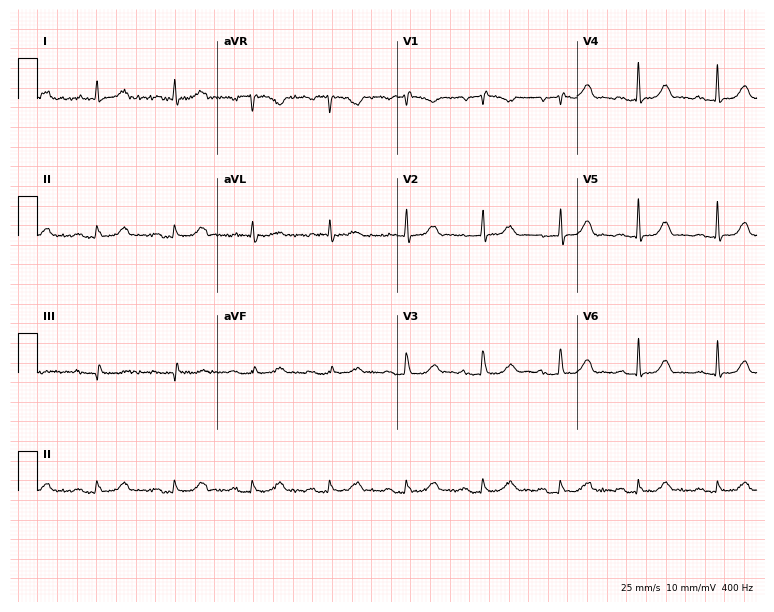
Resting 12-lead electrocardiogram (7.3-second recording at 400 Hz). Patient: an 80-year-old male. None of these six findings is recorded: first-degree AV block, right bundle branch block (RBBB), left bundle branch block (LBBB), sinus bradycardia, atrial fibrillation (AF), sinus tachycardia. Other findings, if any, are not listed.